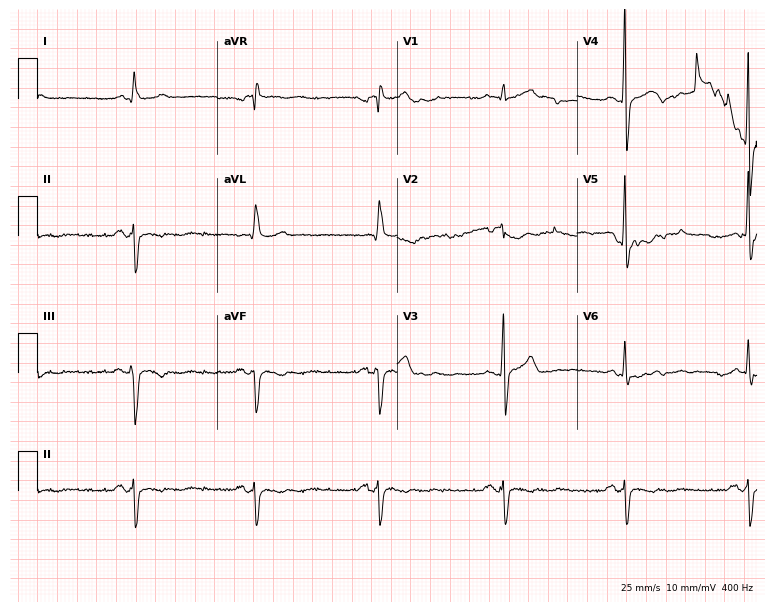
12-lead ECG (7.3-second recording at 400 Hz) from a 72-year-old male patient. Findings include right bundle branch block, left bundle branch block.